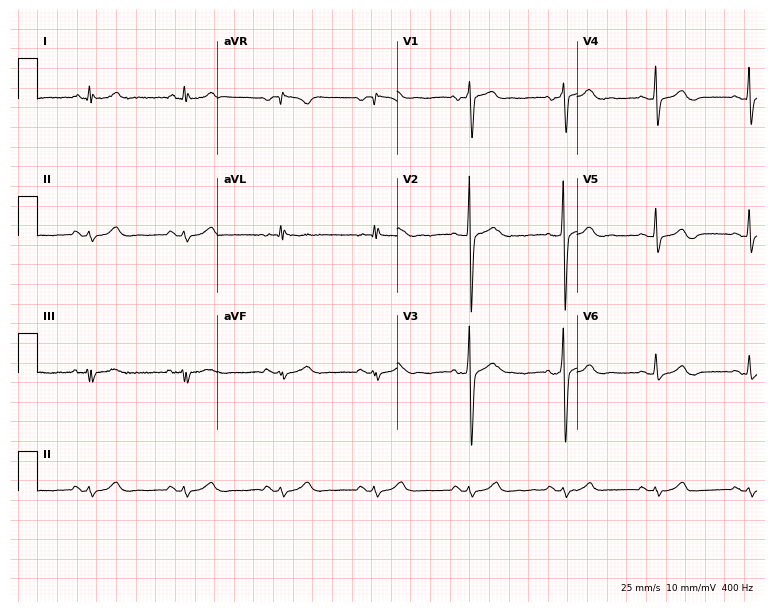
ECG (7.3-second recording at 400 Hz) — a 49-year-old man. Screened for six findings — first-degree AV block, right bundle branch block, left bundle branch block, sinus bradycardia, atrial fibrillation, sinus tachycardia — none is recorded. Findings outside these six are not listed.